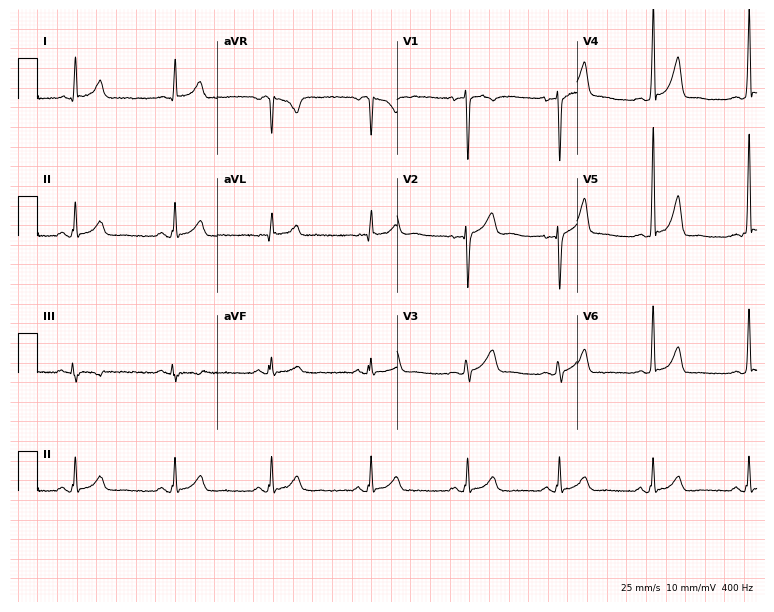
Standard 12-lead ECG recorded from a man, 34 years old (7.3-second recording at 400 Hz). None of these six findings is recorded: first-degree AV block, right bundle branch block (RBBB), left bundle branch block (LBBB), sinus bradycardia, atrial fibrillation (AF), sinus tachycardia.